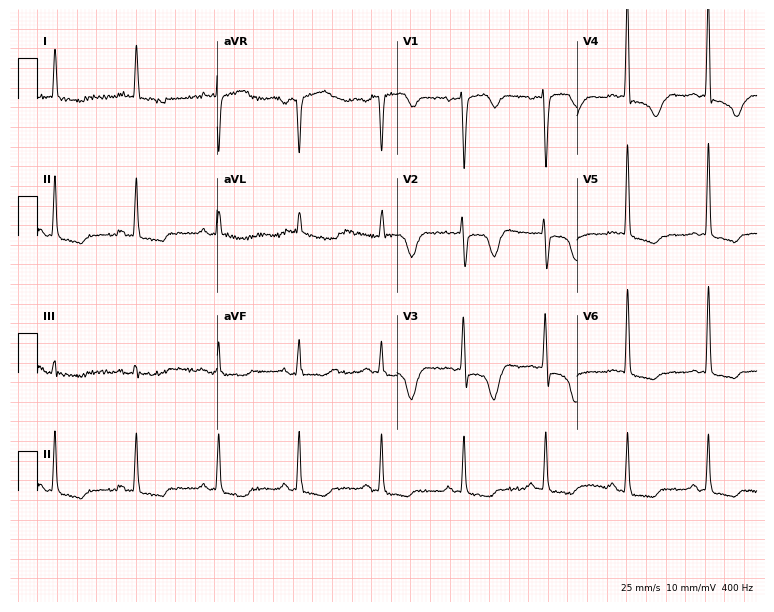
Standard 12-lead ECG recorded from an 84-year-old man. None of these six findings is recorded: first-degree AV block, right bundle branch block, left bundle branch block, sinus bradycardia, atrial fibrillation, sinus tachycardia. Other findings, if any, are not listed.